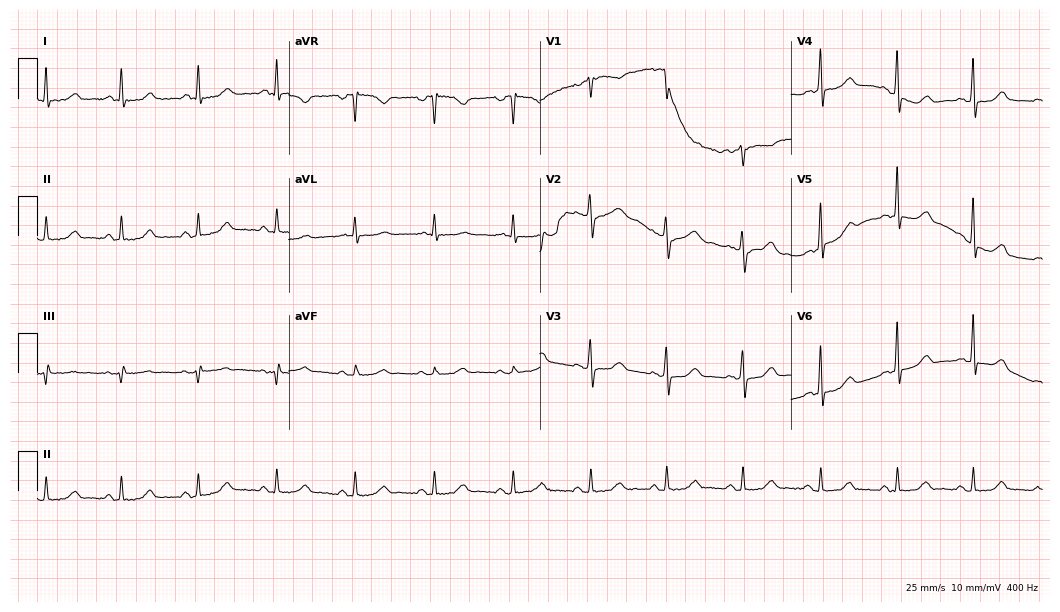
Electrocardiogram, a 53-year-old woman. Overall reading on record: normal ECG.